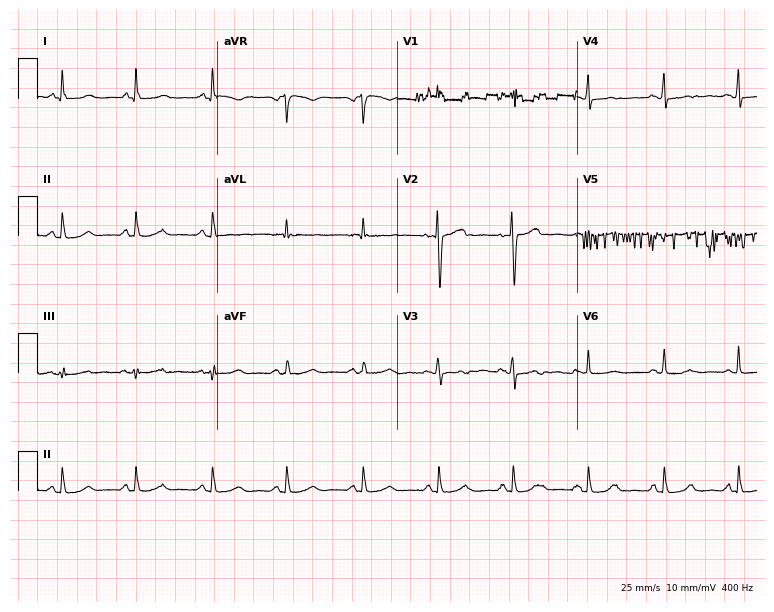
Electrocardiogram, a woman, 49 years old. Of the six screened findings (first-degree AV block, right bundle branch block (RBBB), left bundle branch block (LBBB), sinus bradycardia, atrial fibrillation (AF), sinus tachycardia), none is recorded. Only these six findings were labelled.